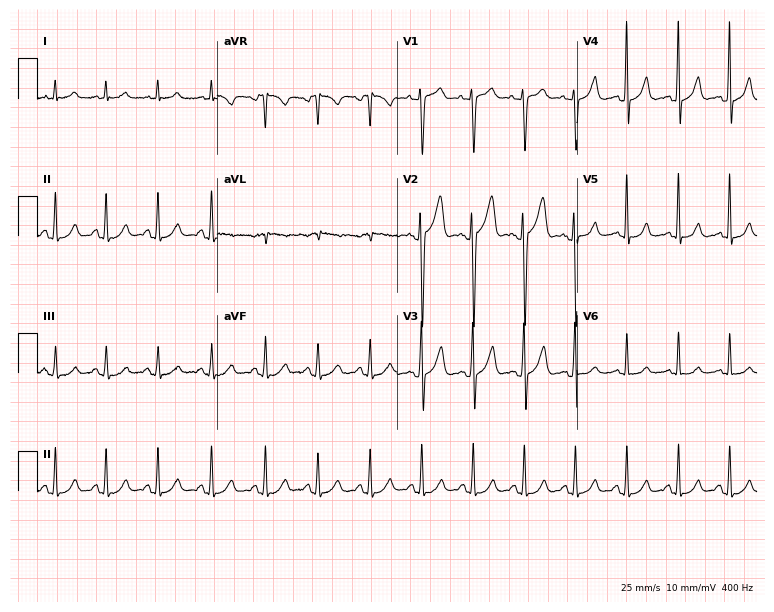
12-lead ECG (7.3-second recording at 400 Hz) from a male, 43 years old. Findings include sinus tachycardia (a sinus rate of 100 beats per minute or more).